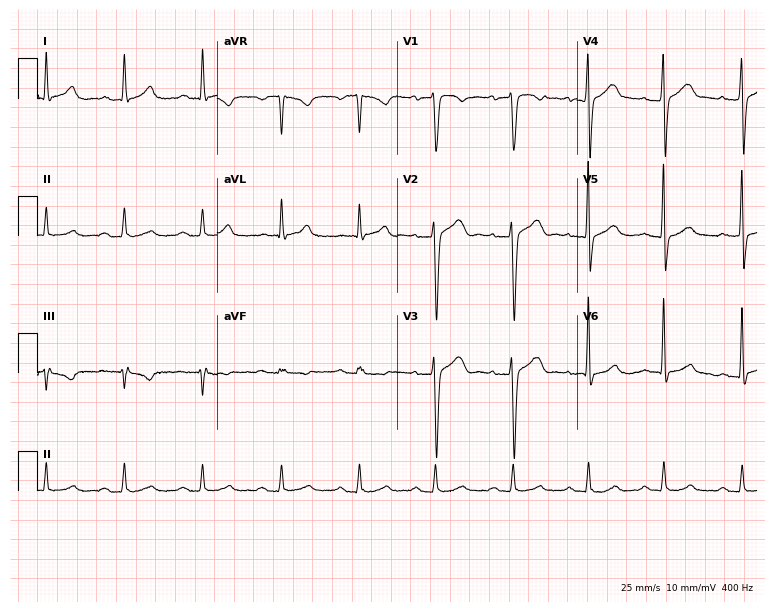
ECG (7.3-second recording at 400 Hz) — a 56-year-old male. Findings include first-degree AV block.